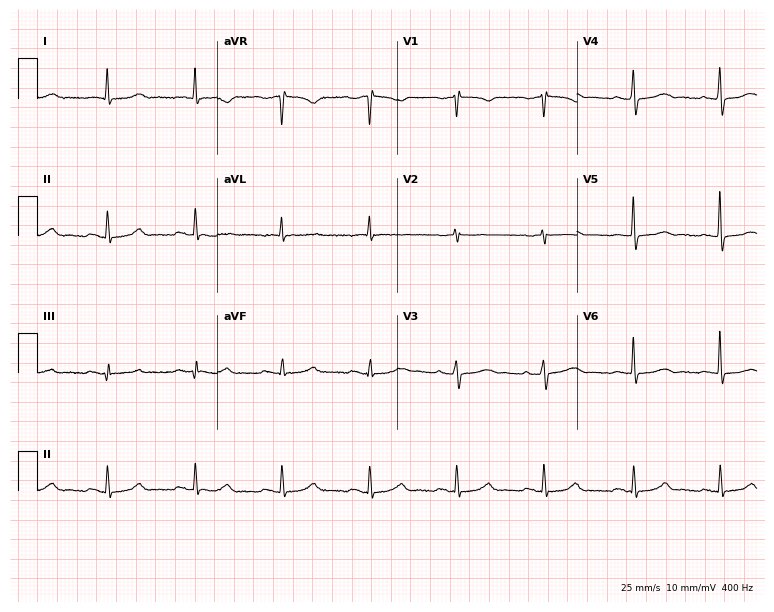
ECG (7.3-second recording at 400 Hz) — a female, 59 years old. Screened for six findings — first-degree AV block, right bundle branch block, left bundle branch block, sinus bradycardia, atrial fibrillation, sinus tachycardia — none is recorded.